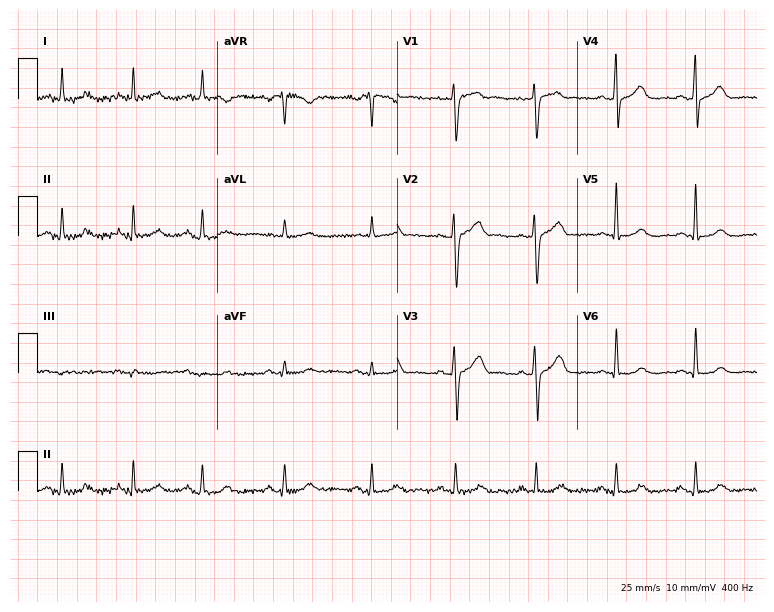
Electrocardiogram, a 54-year-old man. Overall reading on record: normal ECG.